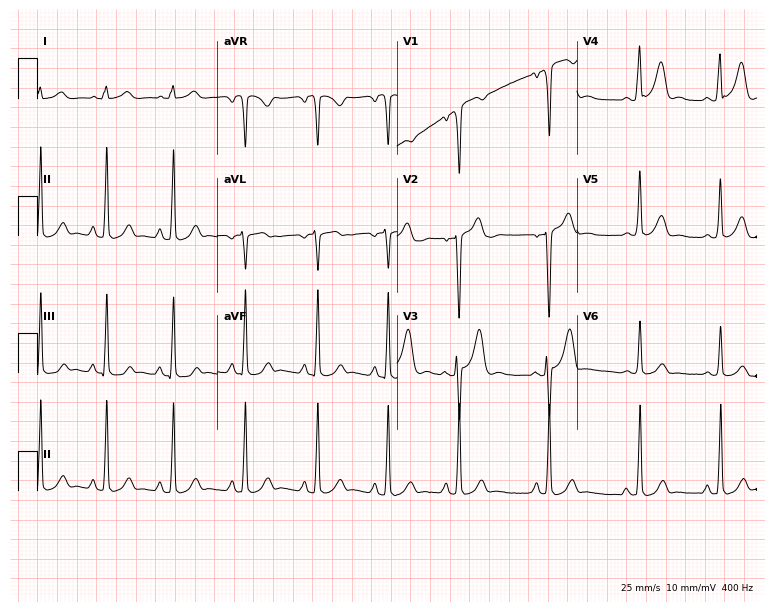
Standard 12-lead ECG recorded from a 21-year-old man (7.3-second recording at 400 Hz). None of these six findings is recorded: first-degree AV block, right bundle branch block, left bundle branch block, sinus bradycardia, atrial fibrillation, sinus tachycardia.